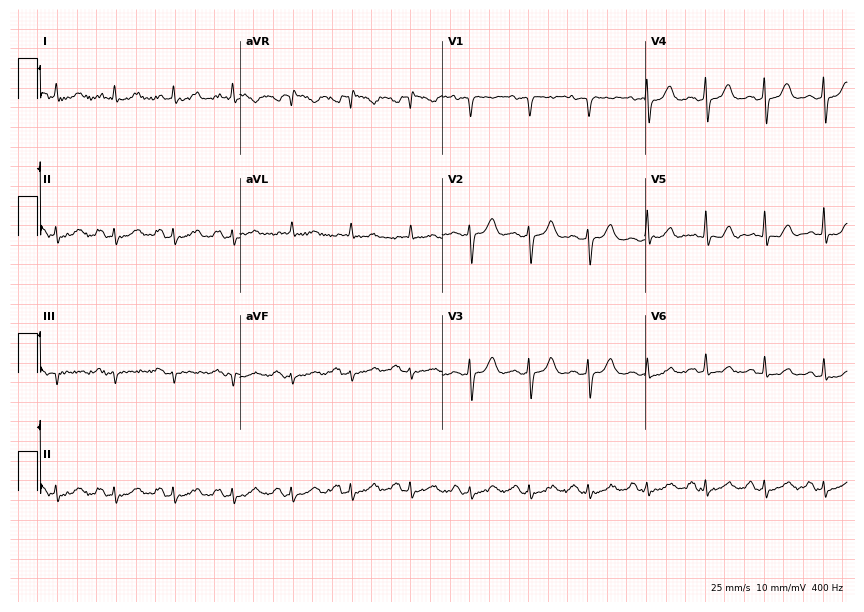
12-lead ECG from a 53-year-old male patient. Labelled as a normal ECG.